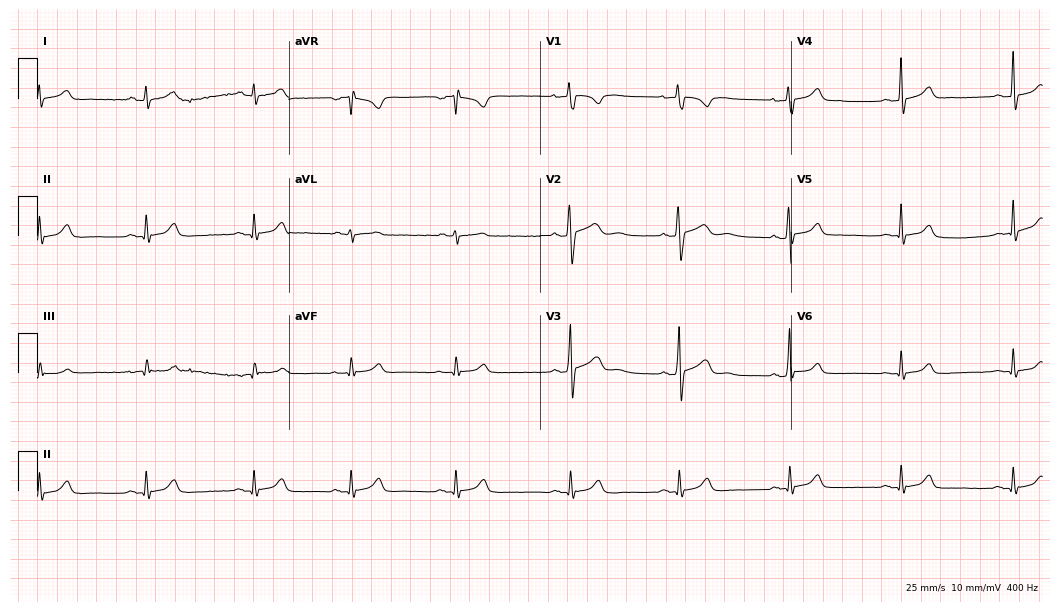
12-lead ECG from a 24-year-old male patient (10.2-second recording at 400 Hz). Recorded interpretation: within normal limits.